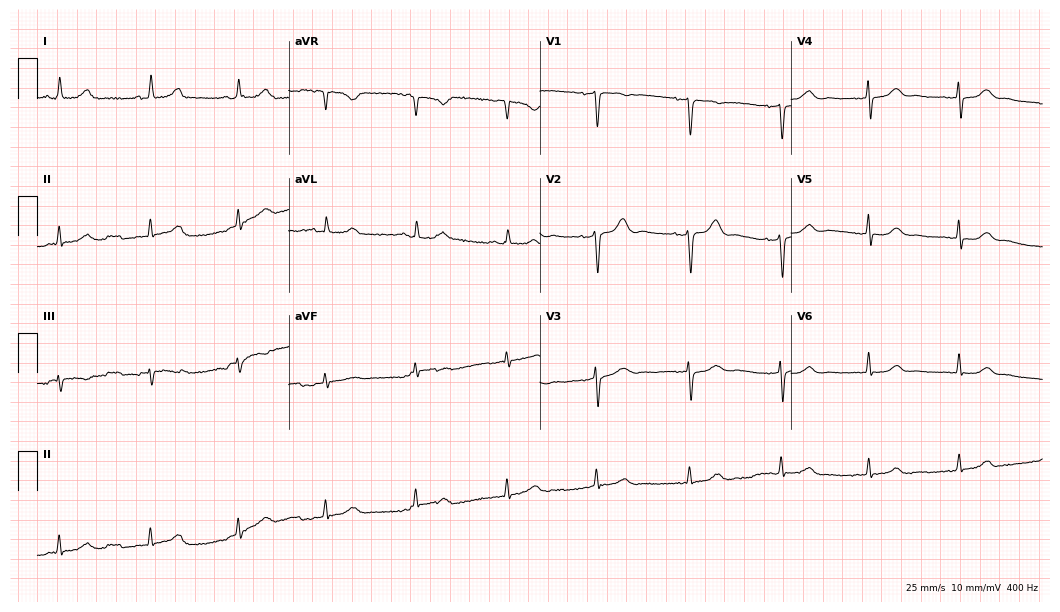
Electrocardiogram (10.2-second recording at 400 Hz), a 51-year-old woman. Overall reading on record: normal ECG.